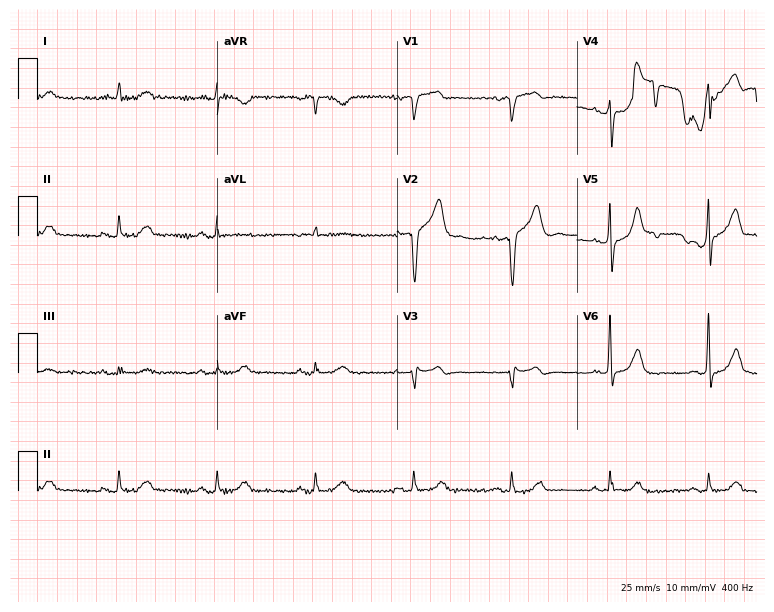
12-lead ECG from an 85-year-old man (7.3-second recording at 400 Hz). No first-degree AV block, right bundle branch block, left bundle branch block, sinus bradycardia, atrial fibrillation or sinus tachycardia recorded for this tracing.